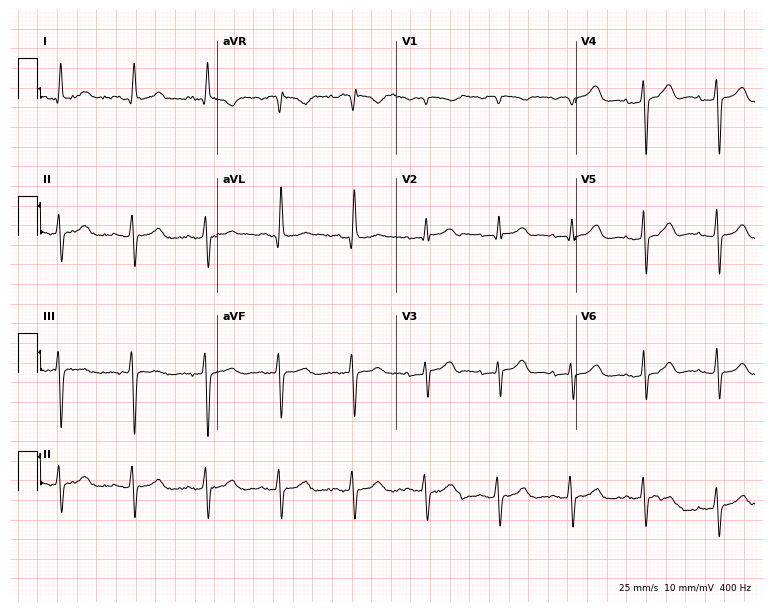
Resting 12-lead electrocardiogram. Patient: a woman, 55 years old. None of these six findings is recorded: first-degree AV block, right bundle branch block, left bundle branch block, sinus bradycardia, atrial fibrillation, sinus tachycardia. Findings outside these six are not listed.